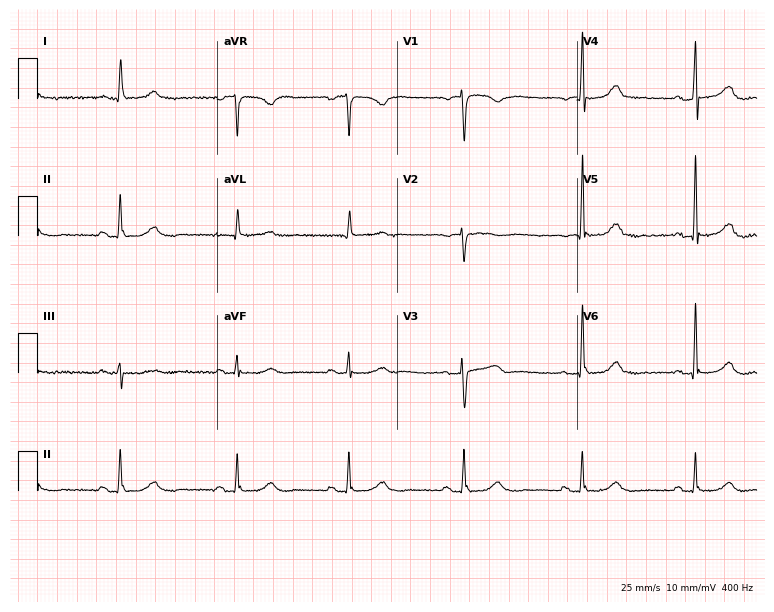
Electrocardiogram (7.3-second recording at 400 Hz), a 77-year-old female patient. Overall reading on record: normal ECG.